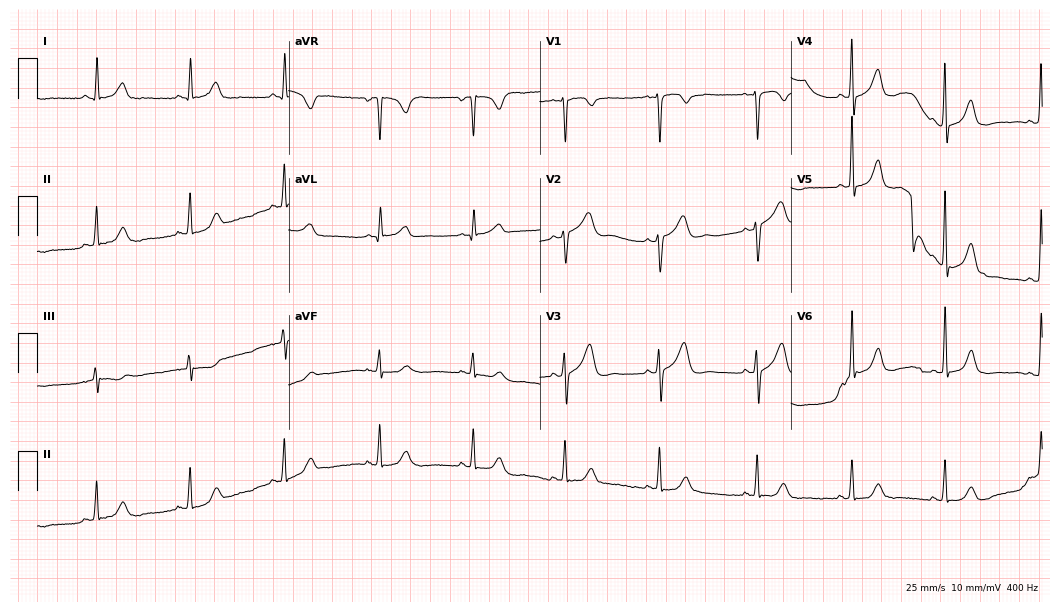
Electrocardiogram, a 58-year-old female. Overall reading on record: normal ECG.